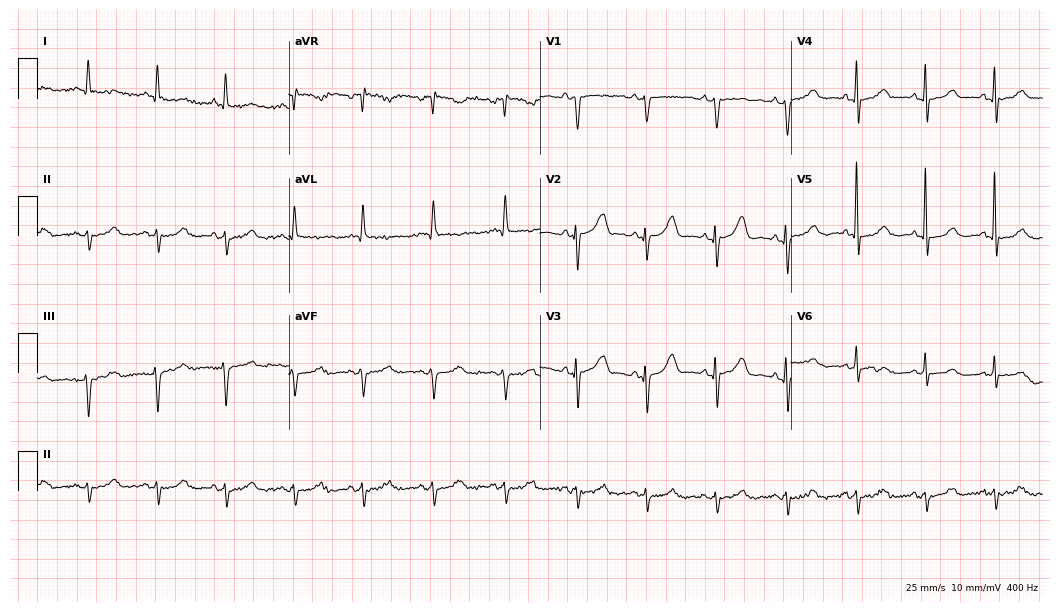
12-lead ECG from a female patient, 79 years old. Screened for six findings — first-degree AV block, right bundle branch block (RBBB), left bundle branch block (LBBB), sinus bradycardia, atrial fibrillation (AF), sinus tachycardia — none is recorded.